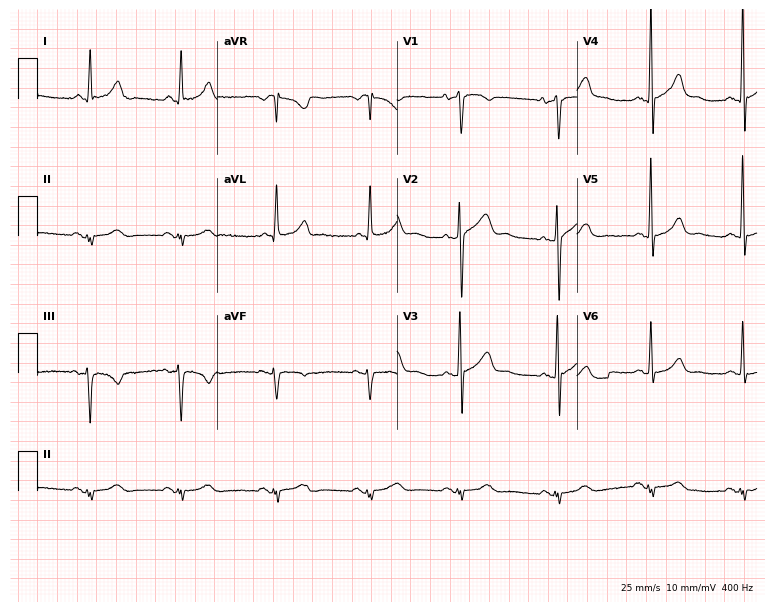
12-lead ECG (7.3-second recording at 400 Hz) from a male, 66 years old. Screened for six findings — first-degree AV block, right bundle branch block, left bundle branch block, sinus bradycardia, atrial fibrillation, sinus tachycardia — none is recorded.